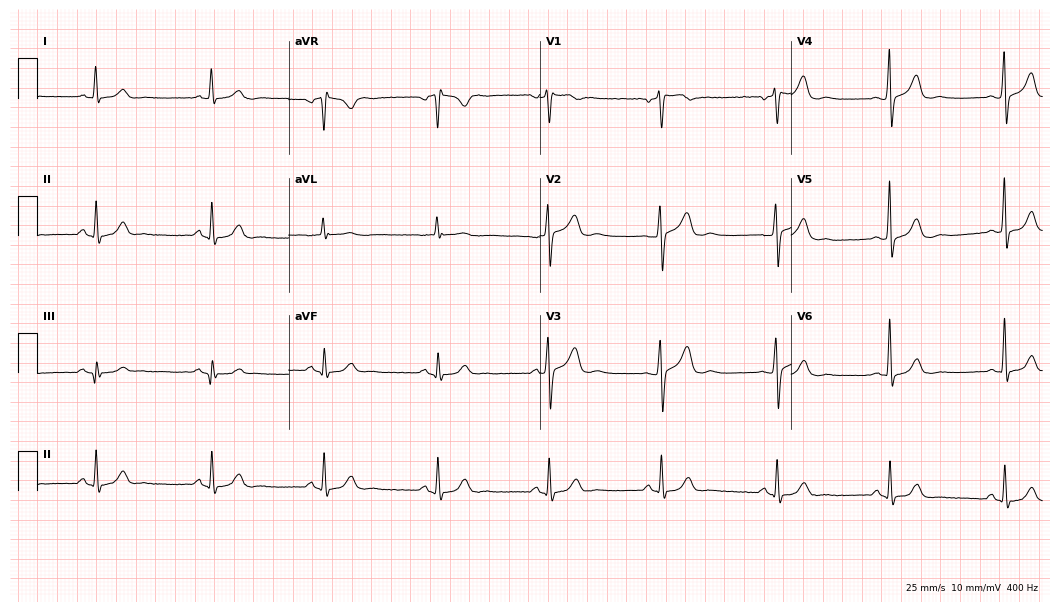
Resting 12-lead electrocardiogram. Patient: a male, 56 years old. Read as a normal ECG.